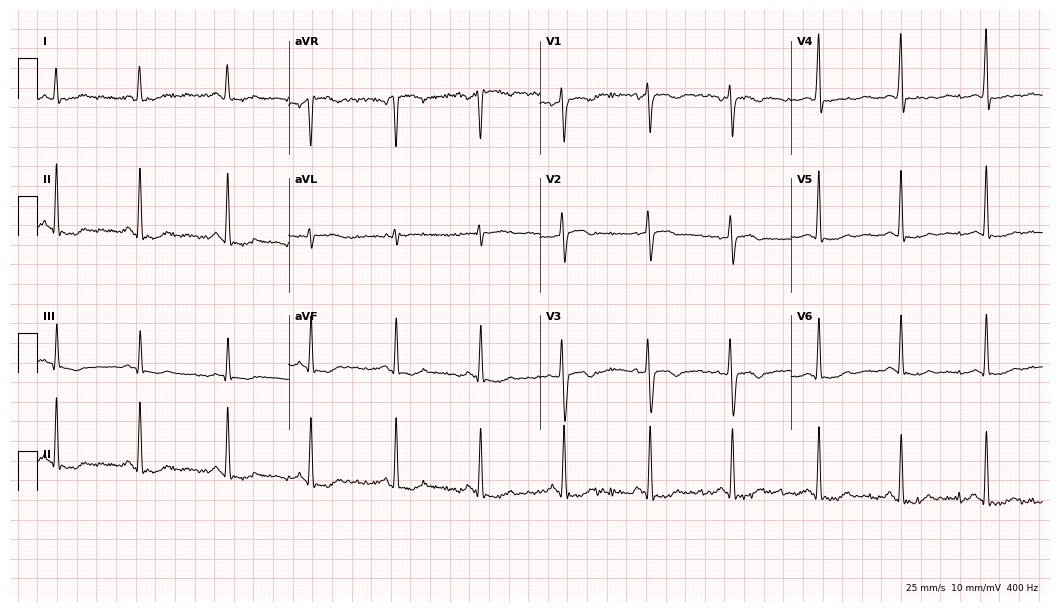
12-lead ECG (10.2-second recording at 400 Hz) from a 56-year-old female patient. Screened for six findings — first-degree AV block, right bundle branch block (RBBB), left bundle branch block (LBBB), sinus bradycardia, atrial fibrillation (AF), sinus tachycardia — none is recorded. Other findings, if any, are not listed.